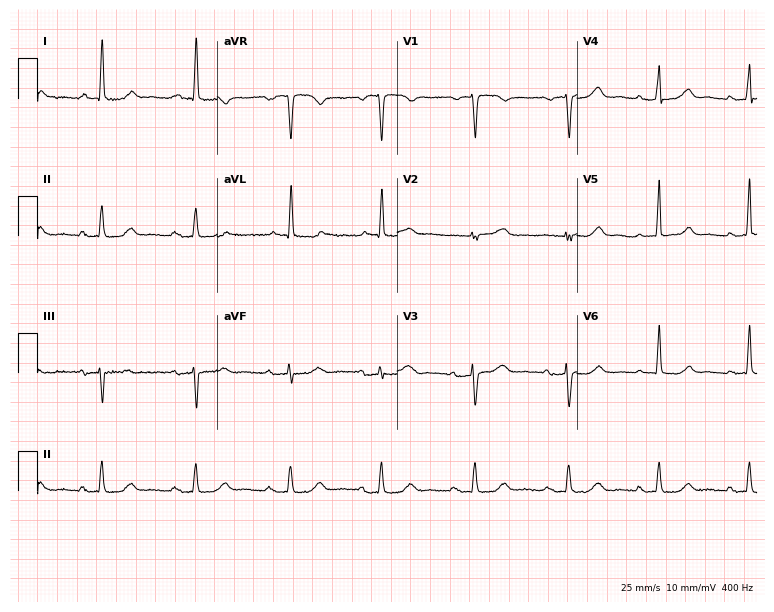
Electrocardiogram, a female, 79 years old. Overall reading on record: normal ECG.